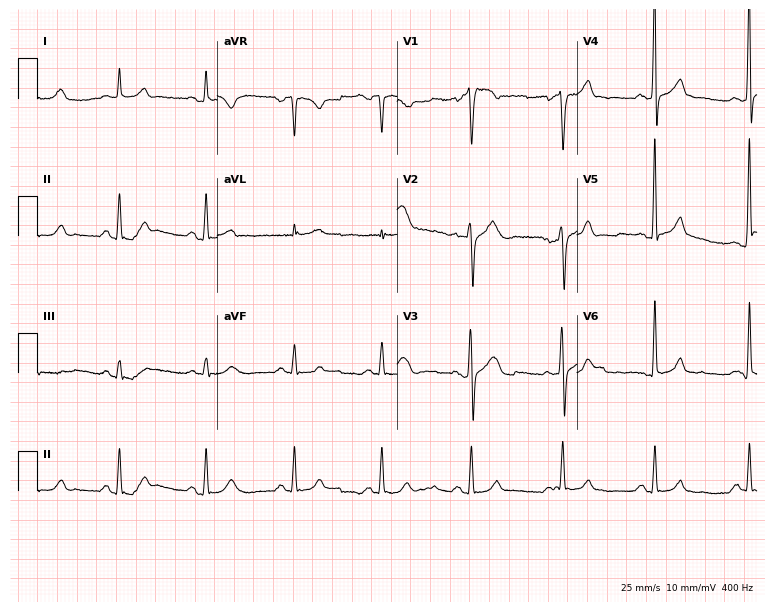
Standard 12-lead ECG recorded from a man, 57 years old (7.3-second recording at 400 Hz). Read as a normal ECG.